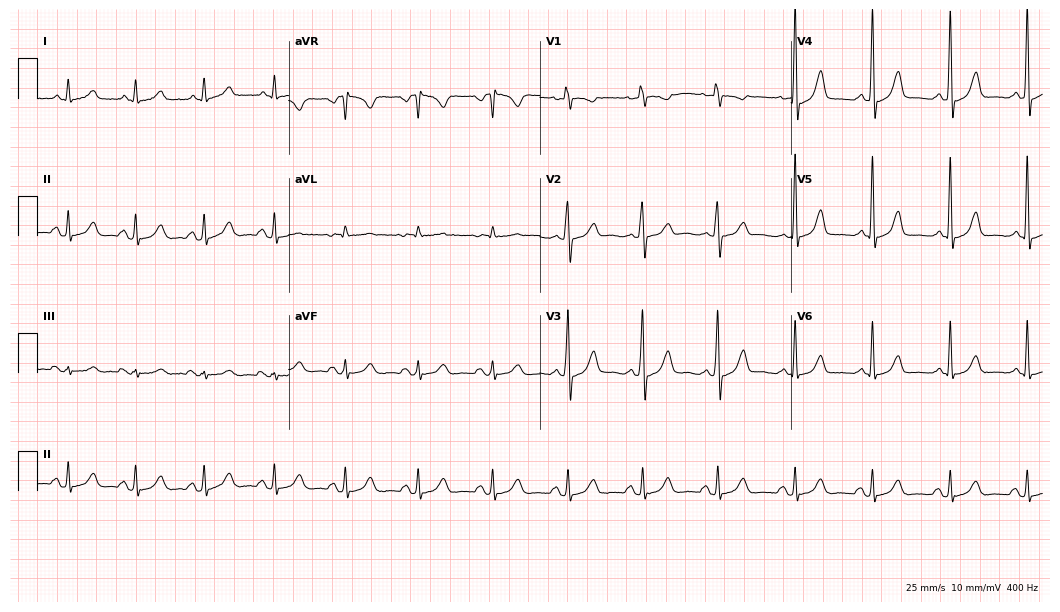
Electrocardiogram, a 64-year-old female patient. Overall reading on record: normal ECG.